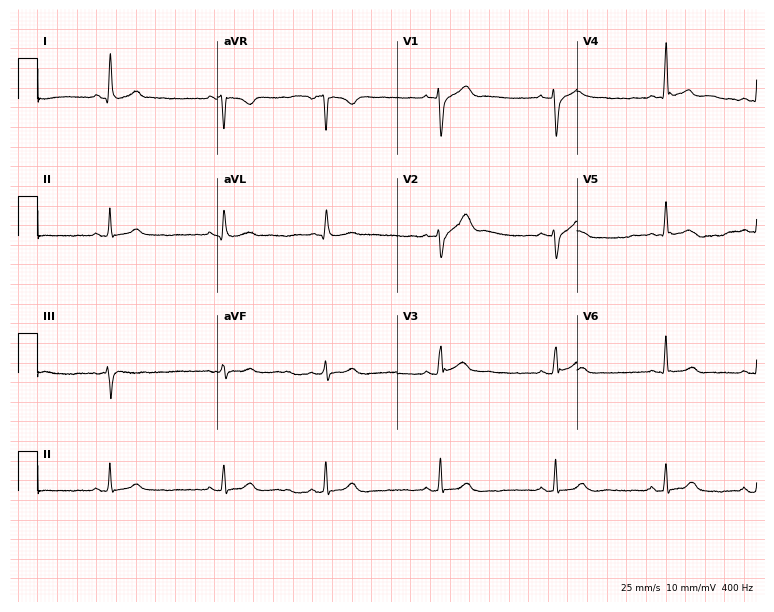
Electrocardiogram (7.3-second recording at 400 Hz), a 38-year-old male. Overall reading on record: normal ECG.